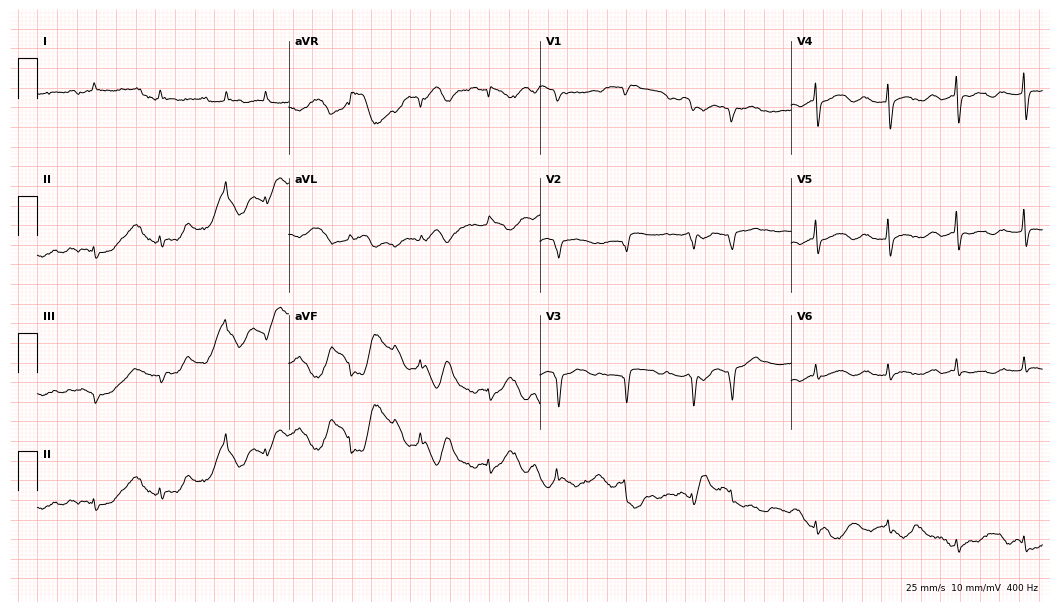
Standard 12-lead ECG recorded from a female aged 90 or older. None of these six findings is recorded: first-degree AV block, right bundle branch block (RBBB), left bundle branch block (LBBB), sinus bradycardia, atrial fibrillation (AF), sinus tachycardia. Other findings, if any, are not listed.